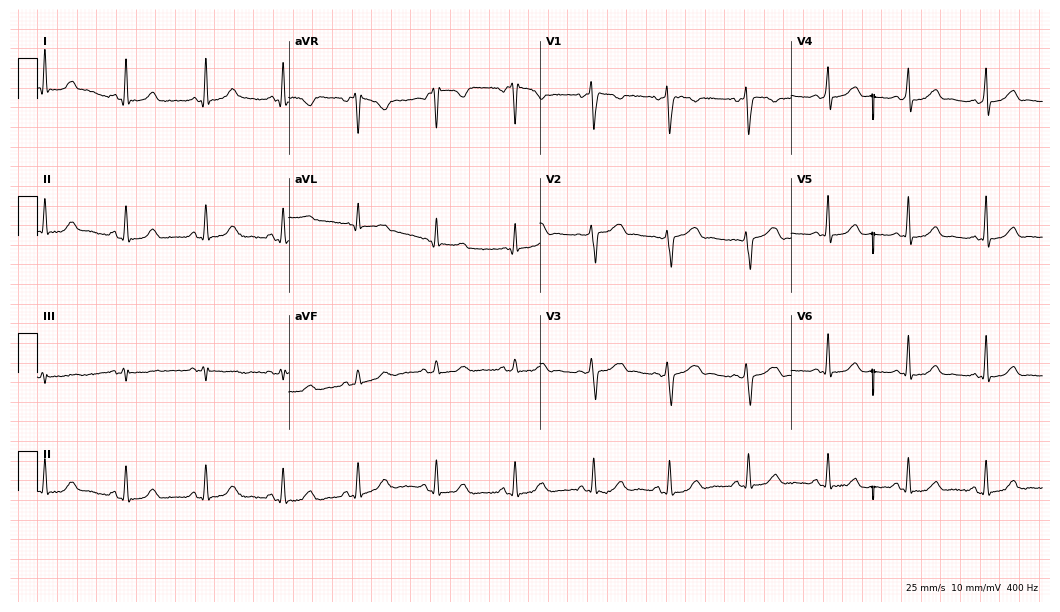
12-lead ECG from a woman, 33 years old. Recorded interpretation: within normal limits.